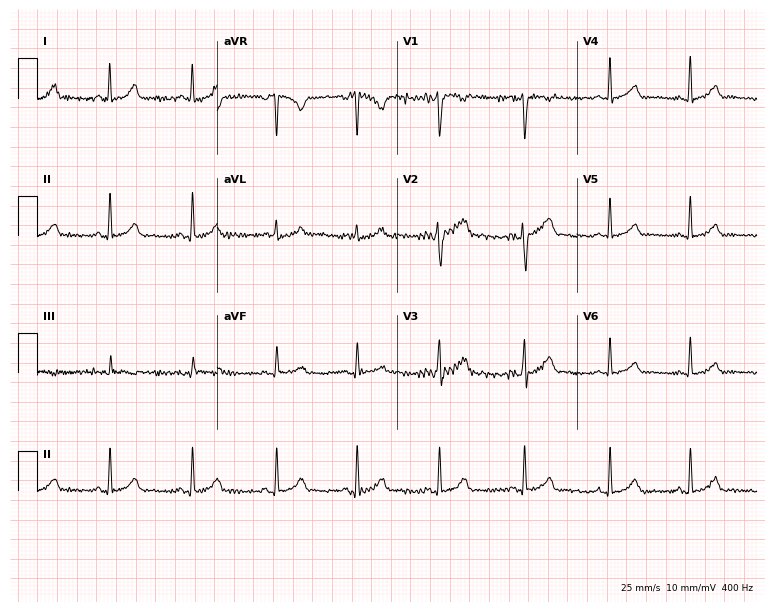
12-lead ECG from a 22-year-old woman (7.3-second recording at 400 Hz). Recorded interpretation: within normal limits.